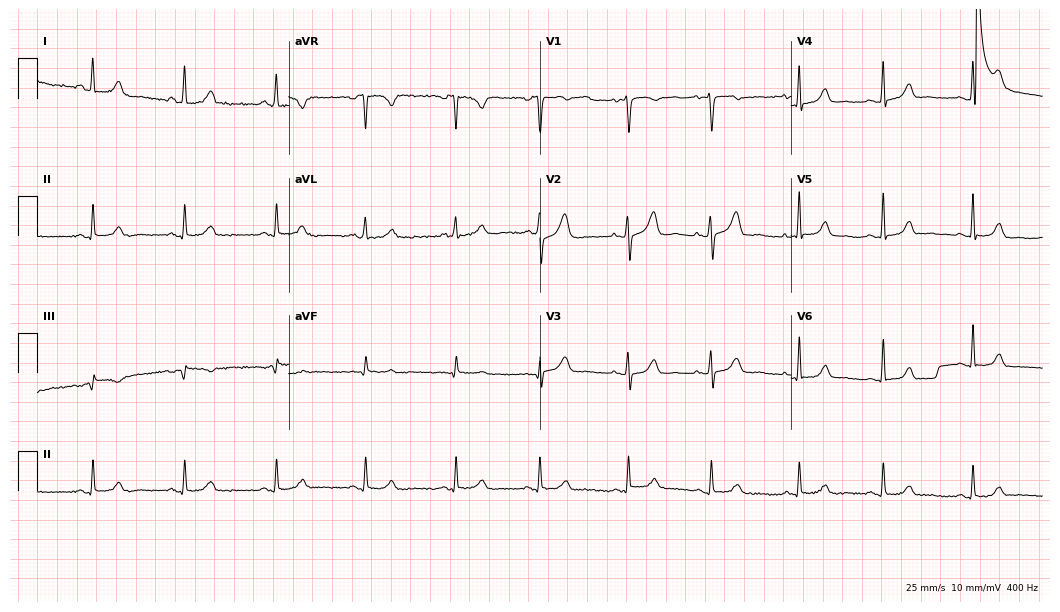
12-lead ECG (10.2-second recording at 400 Hz) from a 37-year-old woman. Labelled as a normal ECG.